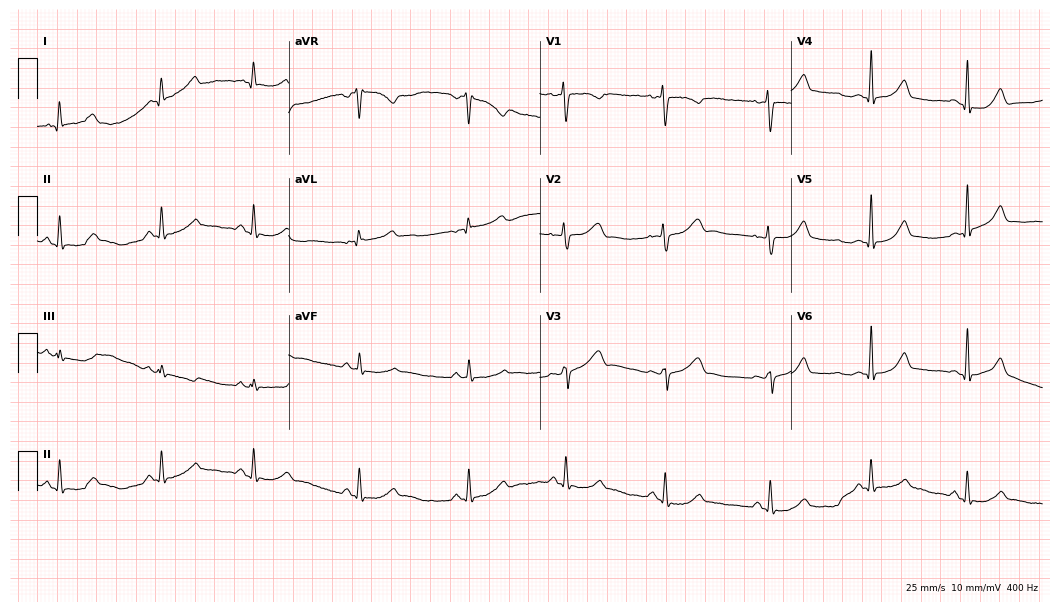
Standard 12-lead ECG recorded from a female patient, 24 years old. Read as a normal ECG.